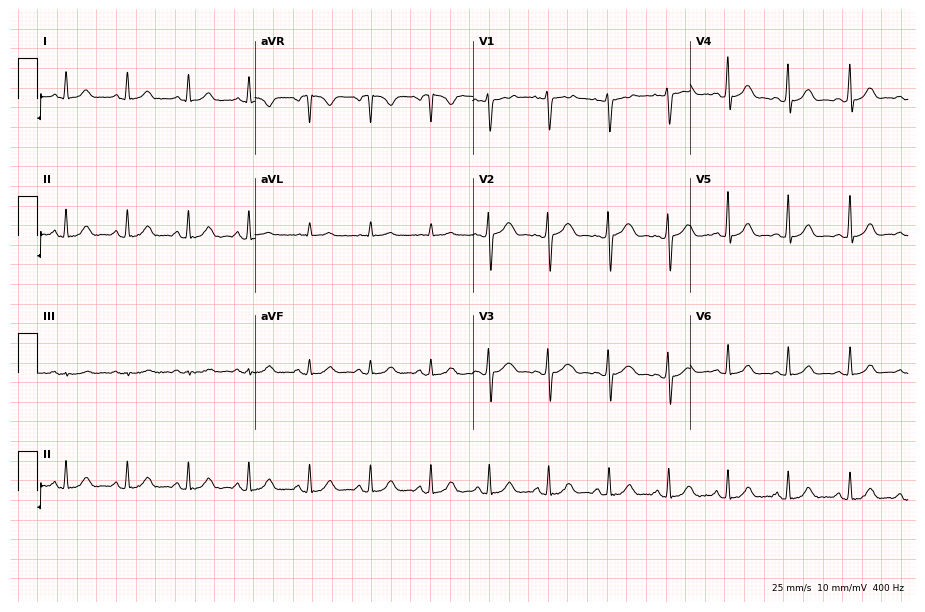
Resting 12-lead electrocardiogram (8.9-second recording at 400 Hz). Patient: a 30-year-old female. Read as a normal ECG.